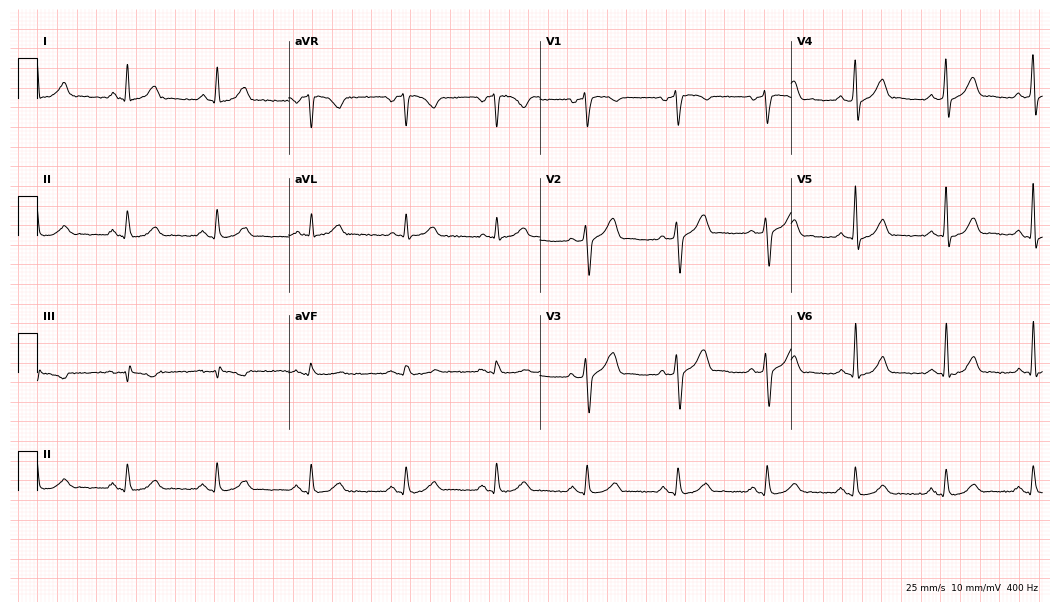
12-lead ECG from a 48-year-old male patient (10.2-second recording at 400 Hz). Recorded interpretation: within normal limits.